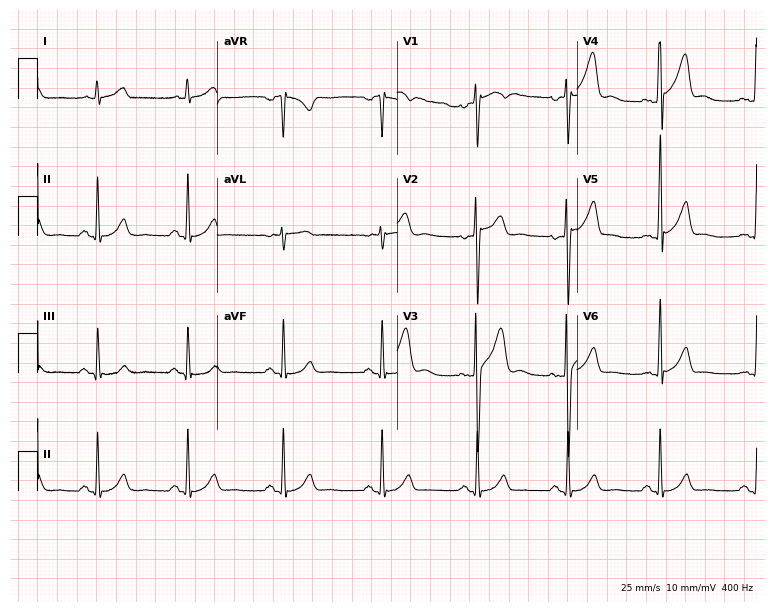
12-lead ECG (7.3-second recording at 400 Hz) from a 28-year-old male. Labelled as a normal ECG.